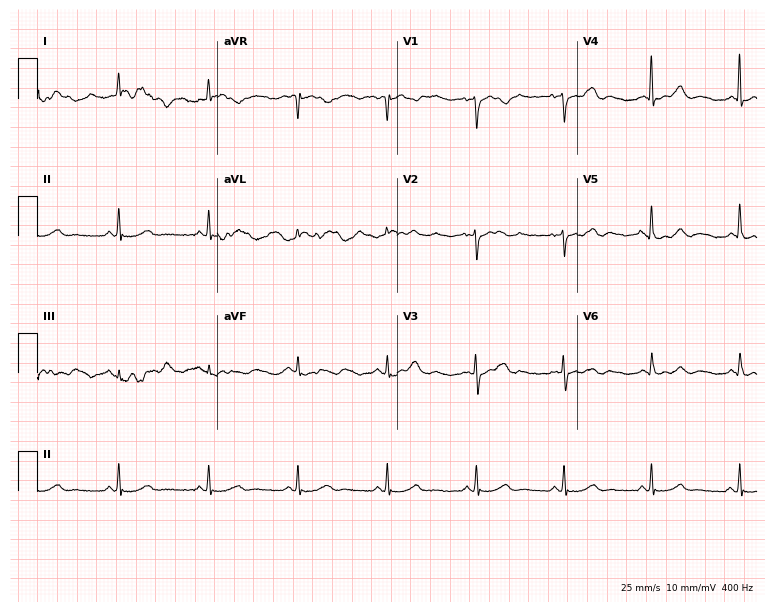
12-lead ECG from a female, 46 years old (7.3-second recording at 400 Hz). No first-degree AV block, right bundle branch block (RBBB), left bundle branch block (LBBB), sinus bradycardia, atrial fibrillation (AF) or sinus tachycardia recorded for this tracing. Only these six findings were labelled.